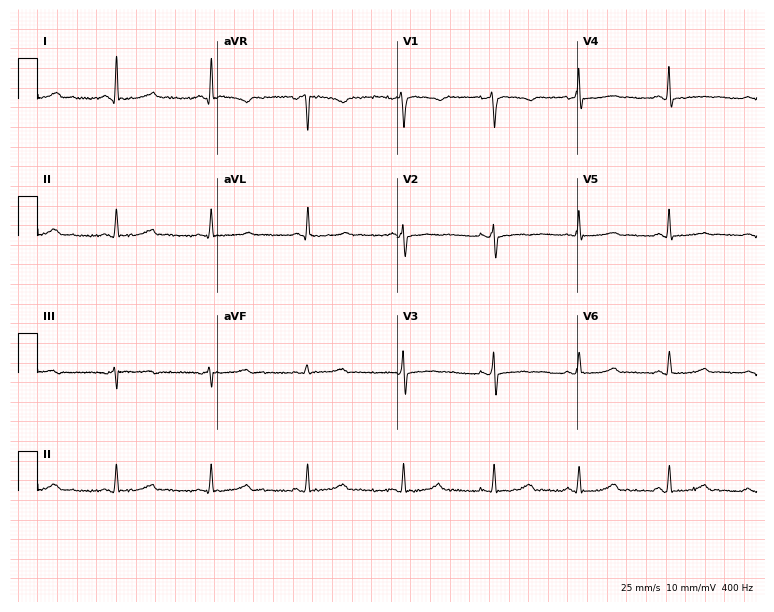
12-lead ECG from a female, 49 years old. Screened for six findings — first-degree AV block, right bundle branch block, left bundle branch block, sinus bradycardia, atrial fibrillation, sinus tachycardia — none is recorded. Findings outside these six are not listed.